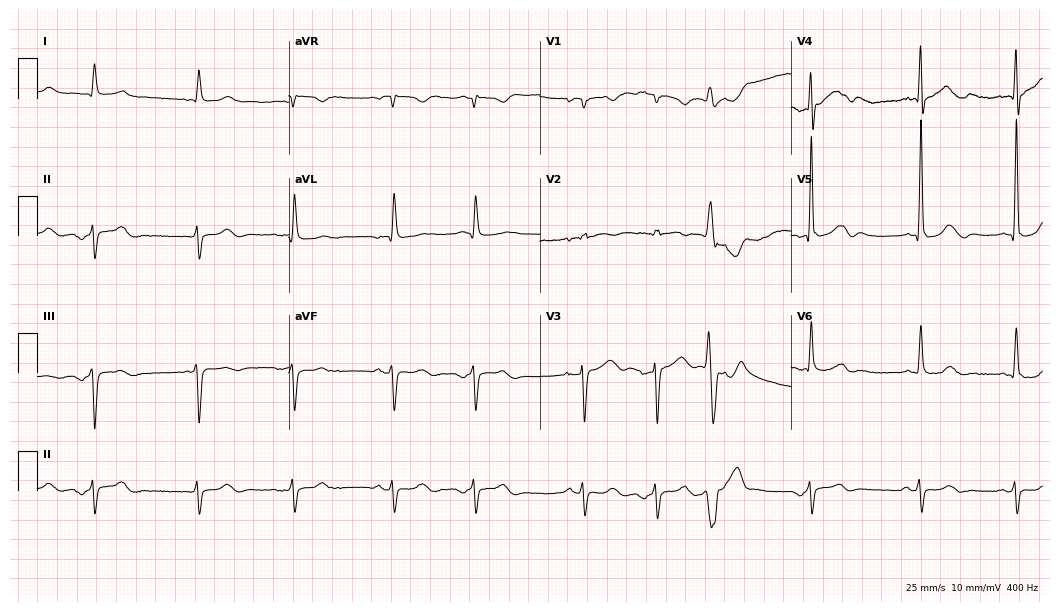
Standard 12-lead ECG recorded from an 83-year-old male. None of these six findings is recorded: first-degree AV block, right bundle branch block (RBBB), left bundle branch block (LBBB), sinus bradycardia, atrial fibrillation (AF), sinus tachycardia. Only these six findings were labelled.